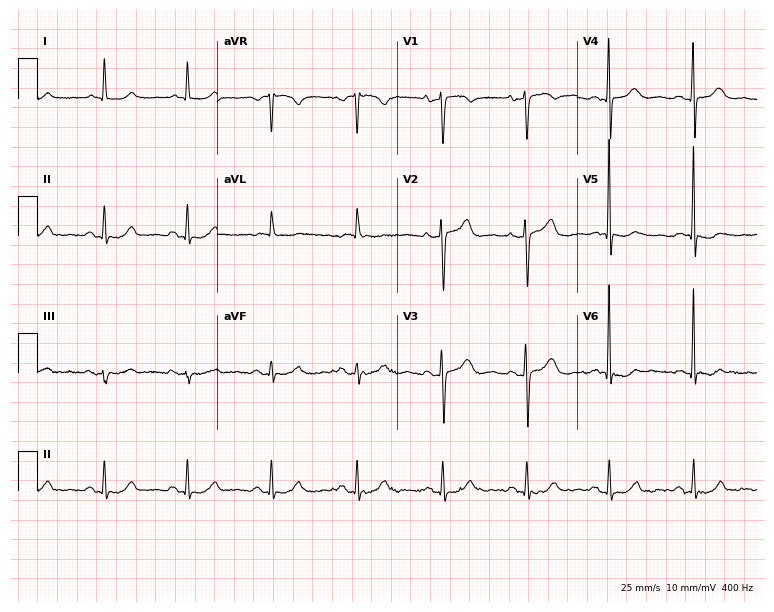
12-lead ECG from a woman, 75 years old. Recorded interpretation: within normal limits.